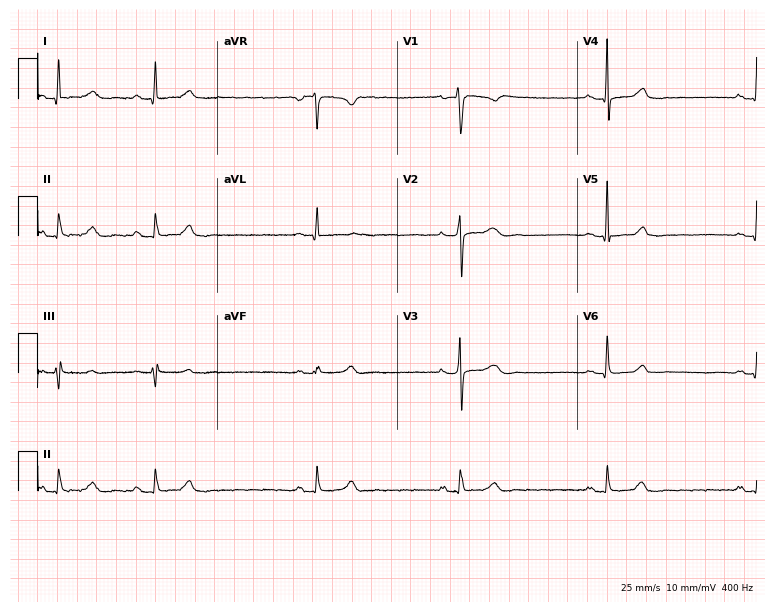
Standard 12-lead ECG recorded from a 43-year-old female. The tracing shows sinus bradycardia (a sinus rate of 50 beats per minute or less).